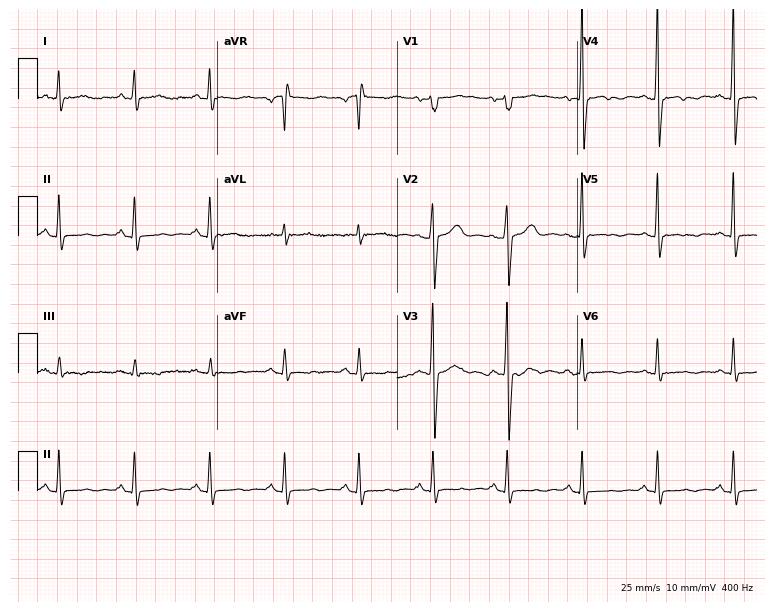
Electrocardiogram, a man, 58 years old. Of the six screened findings (first-degree AV block, right bundle branch block, left bundle branch block, sinus bradycardia, atrial fibrillation, sinus tachycardia), none is recorded. Only these six findings were labelled.